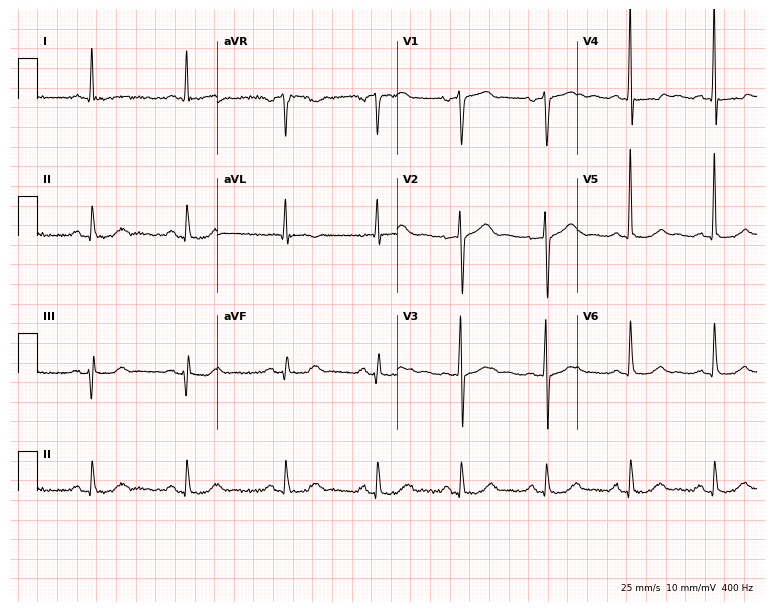
ECG — a 62-year-old male. Screened for six findings — first-degree AV block, right bundle branch block (RBBB), left bundle branch block (LBBB), sinus bradycardia, atrial fibrillation (AF), sinus tachycardia — none is recorded. Other findings, if any, are not listed.